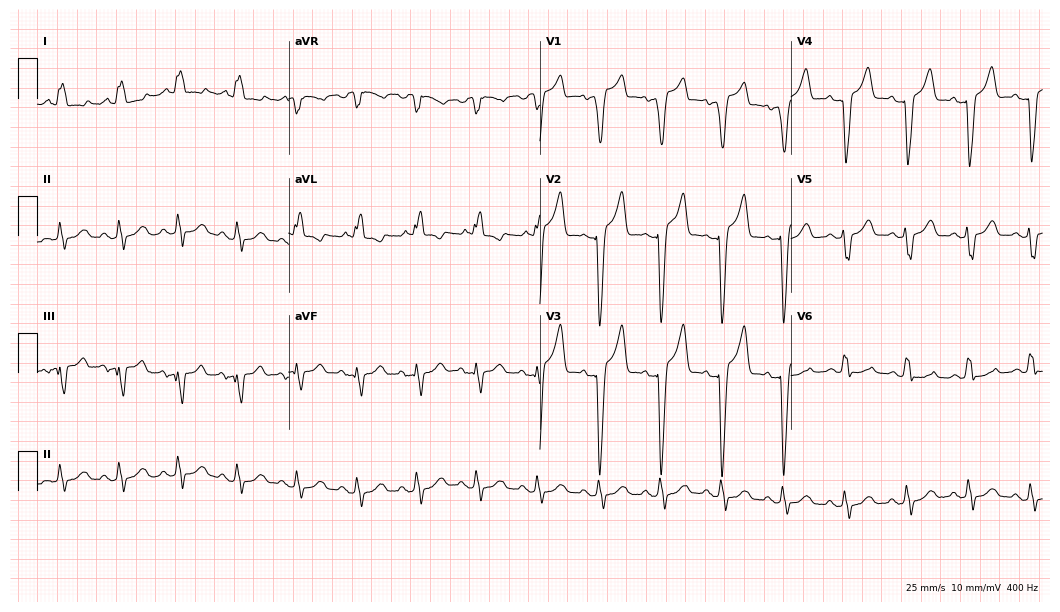
Standard 12-lead ECG recorded from a female patient, 82 years old. The tracing shows left bundle branch block.